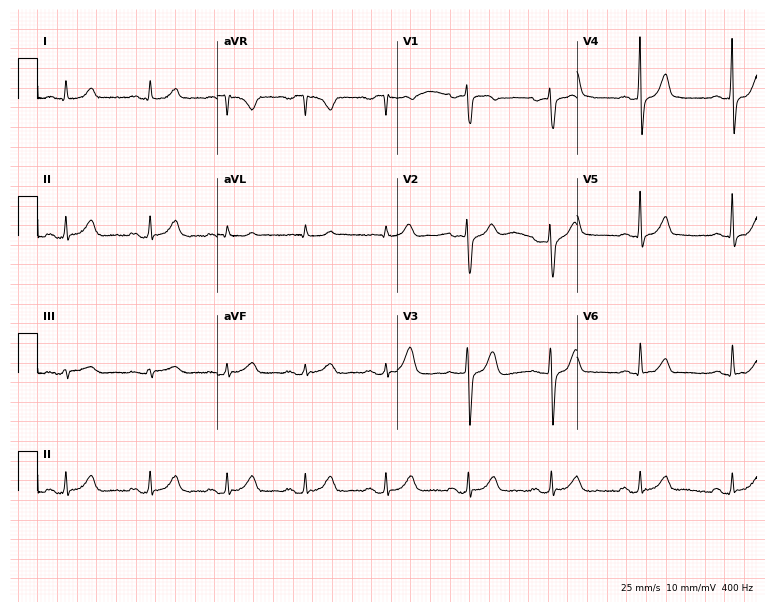
Resting 12-lead electrocardiogram (7.3-second recording at 400 Hz). Patient: a 40-year-old male. Read as a normal ECG.